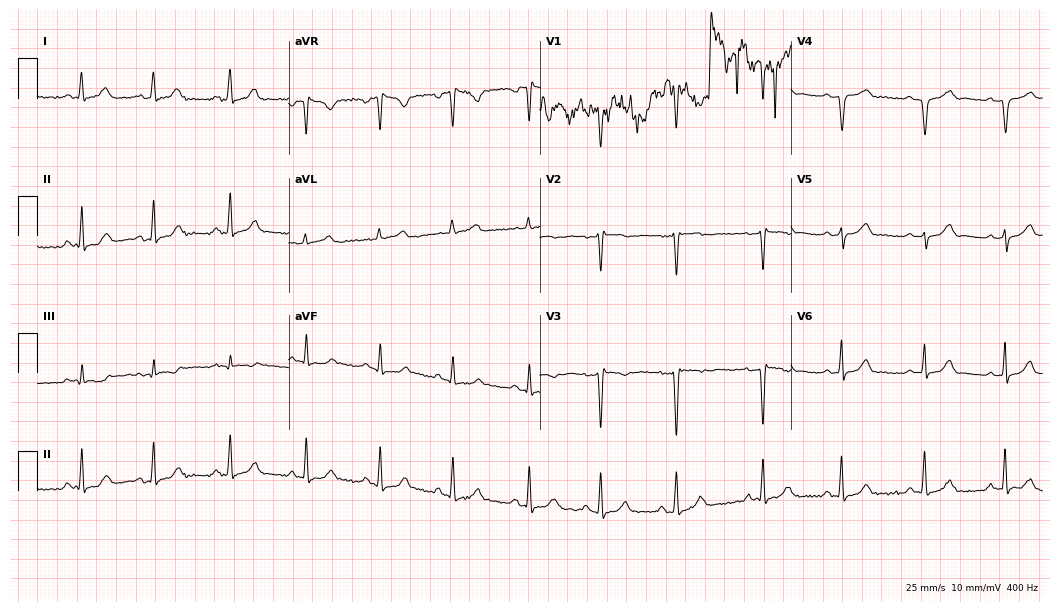
Standard 12-lead ECG recorded from a 23-year-old female. Read as a normal ECG.